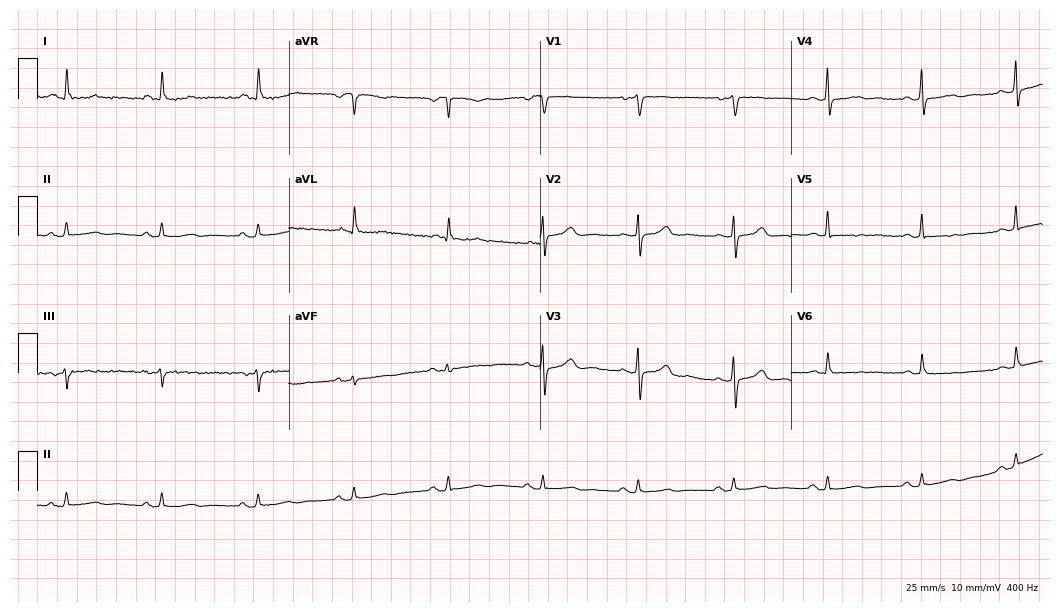
12-lead ECG from a 62-year-old female patient. Labelled as a normal ECG.